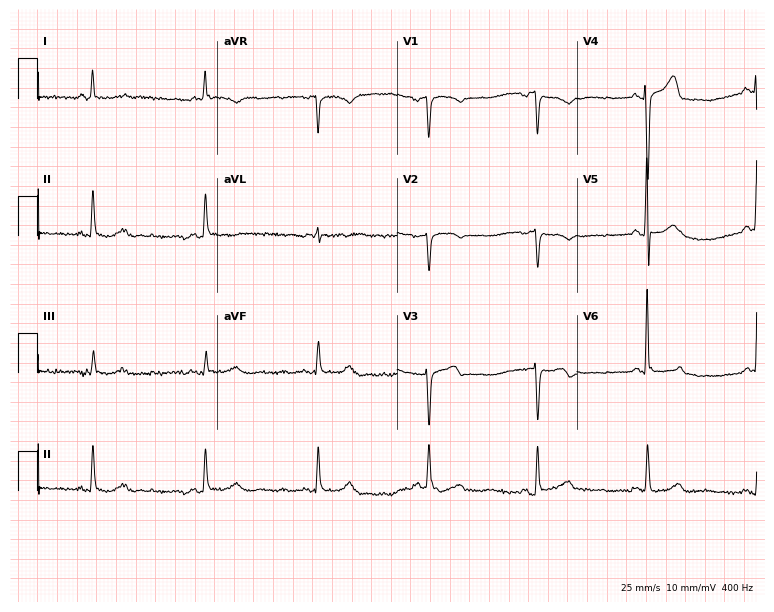
Standard 12-lead ECG recorded from a 73-year-old man (7.3-second recording at 400 Hz). Read as a normal ECG.